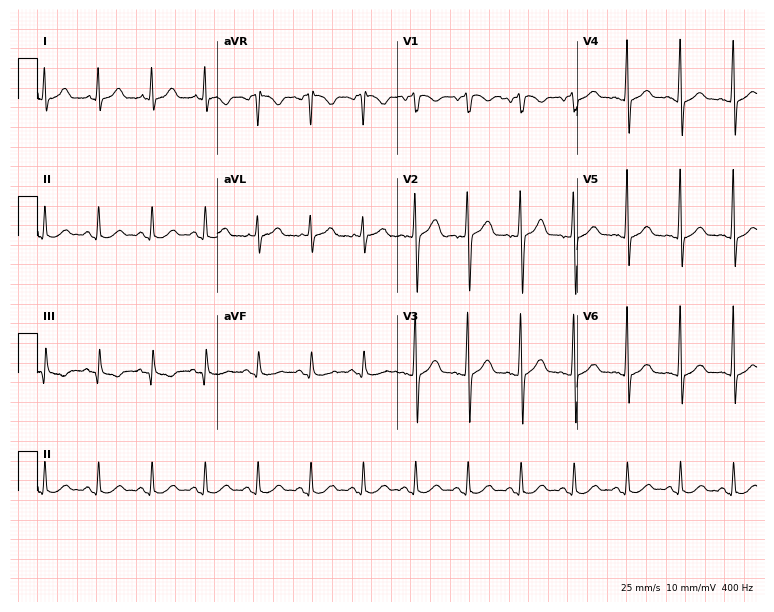
12-lead ECG from a 42-year-old man. Findings include sinus tachycardia (a sinus rate of 100 beats per minute or more).